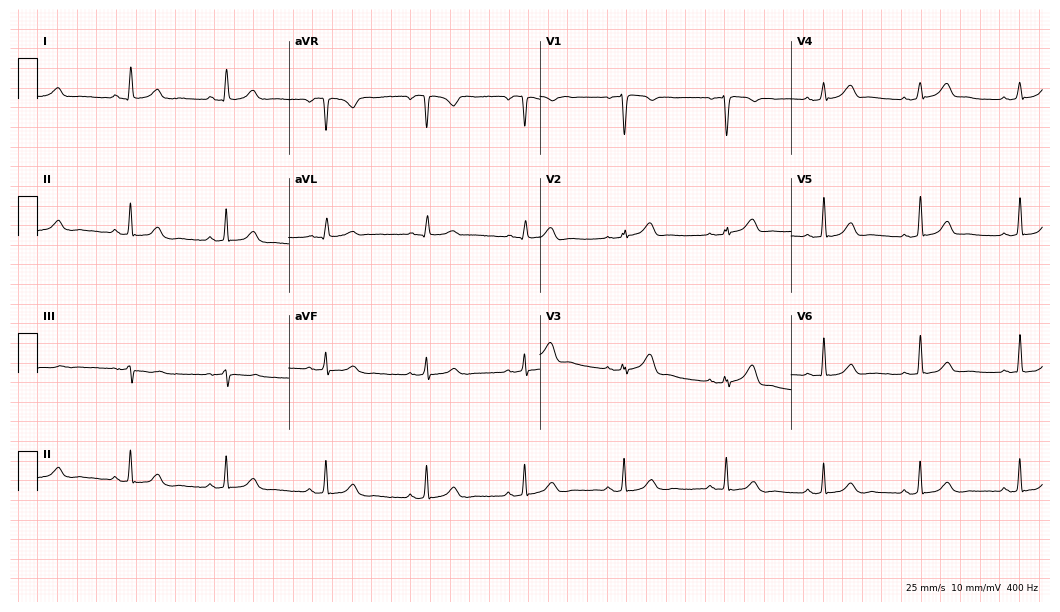
Standard 12-lead ECG recorded from a 36-year-old female (10.2-second recording at 400 Hz). Read as a normal ECG.